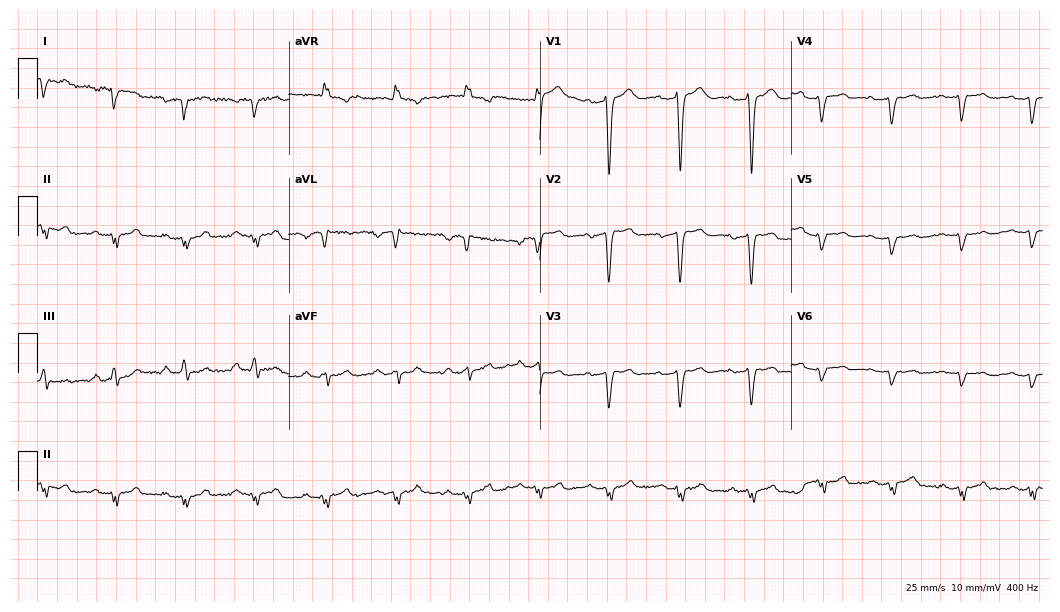
ECG (10.2-second recording at 400 Hz) — a 44-year-old man. Screened for six findings — first-degree AV block, right bundle branch block, left bundle branch block, sinus bradycardia, atrial fibrillation, sinus tachycardia — none is recorded. Only these six findings were labelled.